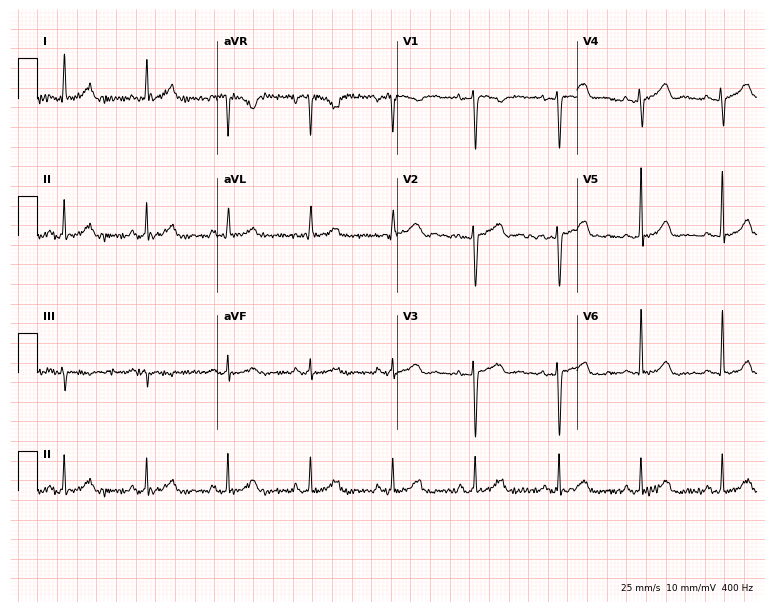
Electrocardiogram (7.3-second recording at 400 Hz), a female, 40 years old. Overall reading on record: normal ECG.